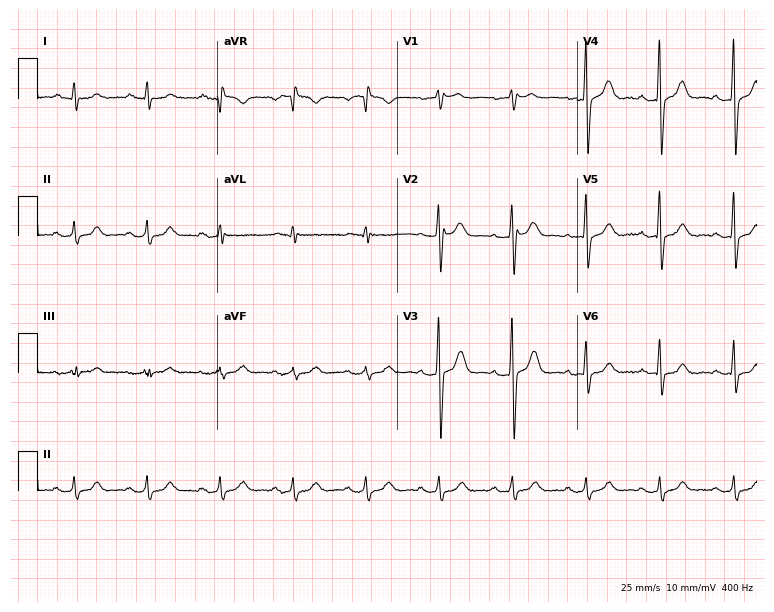
Resting 12-lead electrocardiogram. Patient: a male, 60 years old. Read as a normal ECG.